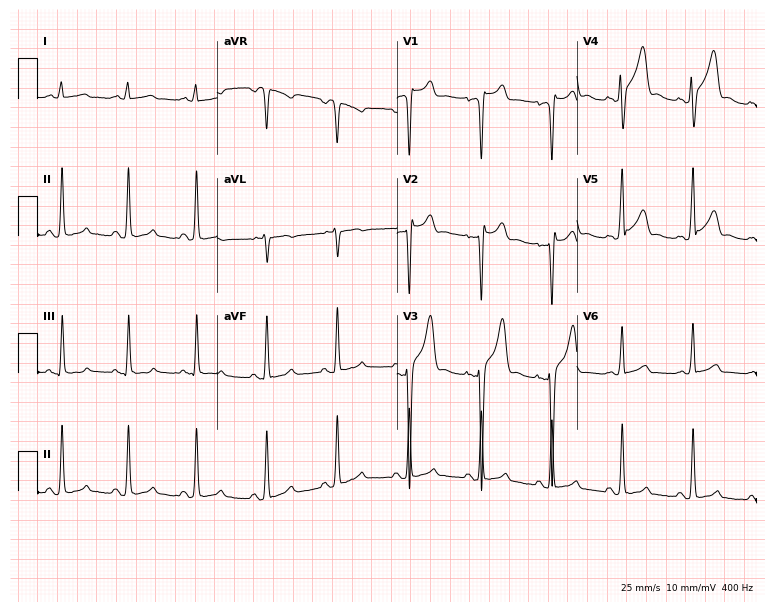
ECG — a male patient, 40 years old. Screened for six findings — first-degree AV block, right bundle branch block (RBBB), left bundle branch block (LBBB), sinus bradycardia, atrial fibrillation (AF), sinus tachycardia — none is recorded. Only these six findings were labelled.